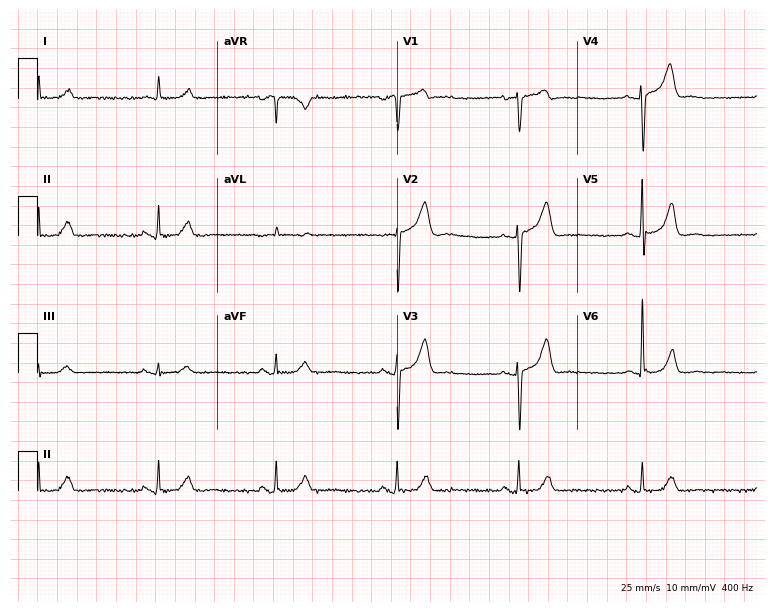
ECG — a man, 65 years old. Screened for six findings — first-degree AV block, right bundle branch block, left bundle branch block, sinus bradycardia, atrial fibrillation, sinus tachycardia — none is recorded.